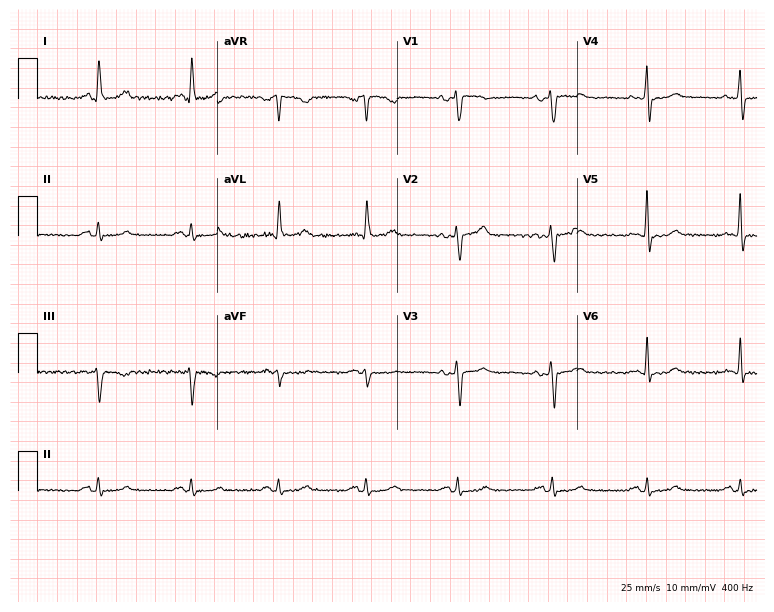
ECG — a 57-year-old female. Labelled as a normal ECG.